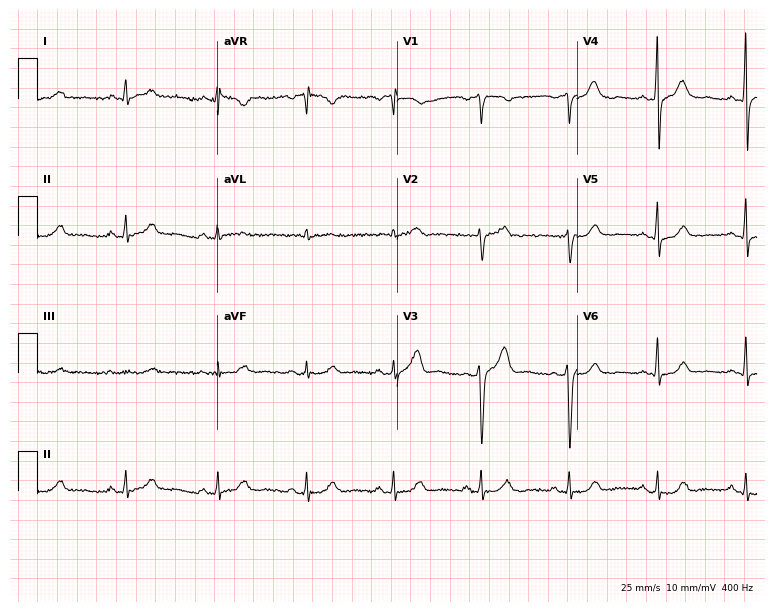
Standard 12-lead ECG recorded from a 41-year-old male (7.3-second recording at 400 Hz). Read as a normal ECG.